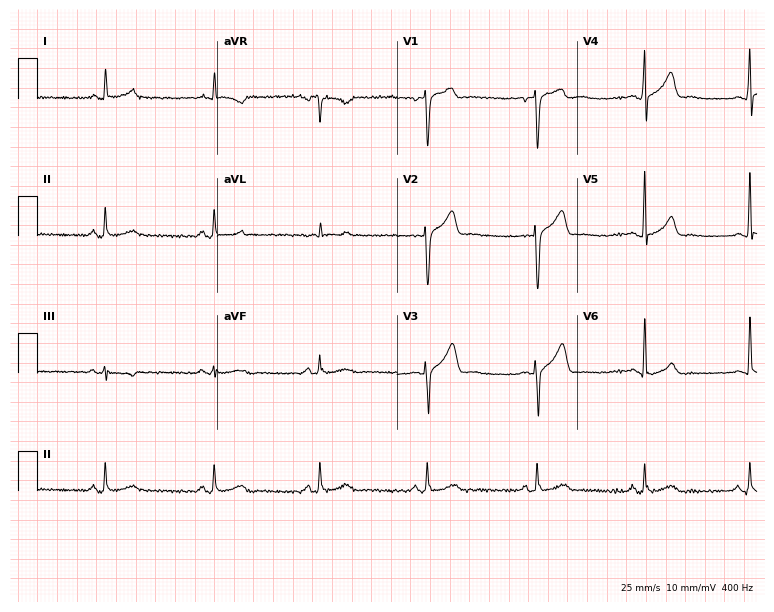
12-lead ECG from a 50-year-old male patient. Labelled as a normal ECG.